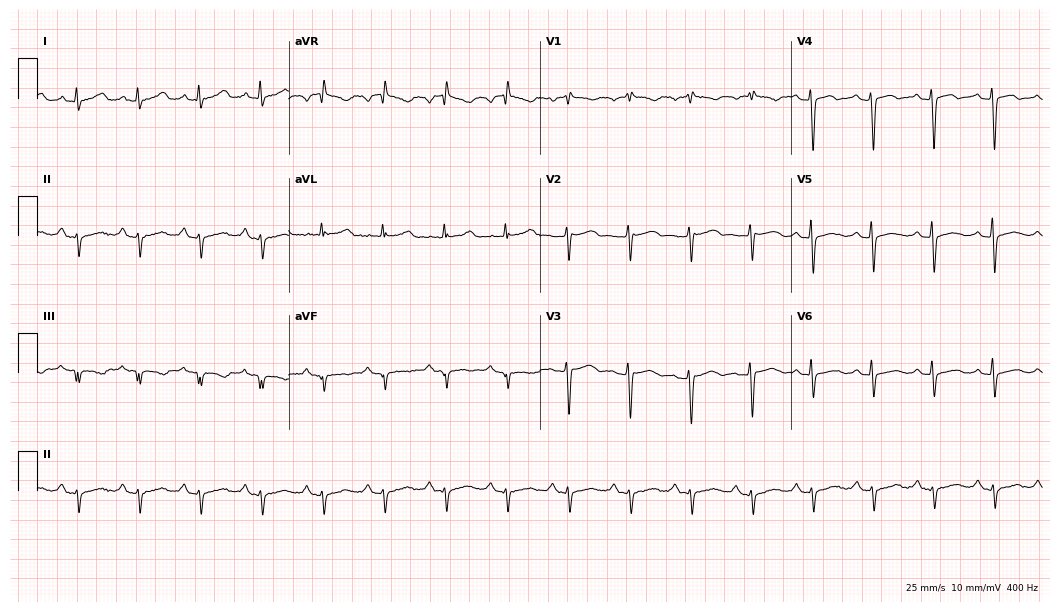
Resting 12-lead electrocardiogram. Patient: a female, 59 years old. None of these six findings is recorded: first-degree AV block, right bundle branch block, left bundle branch block, sinus bradycardia, atrial fibrillation, sinus tachycardia. Findings outside these six are not listed.